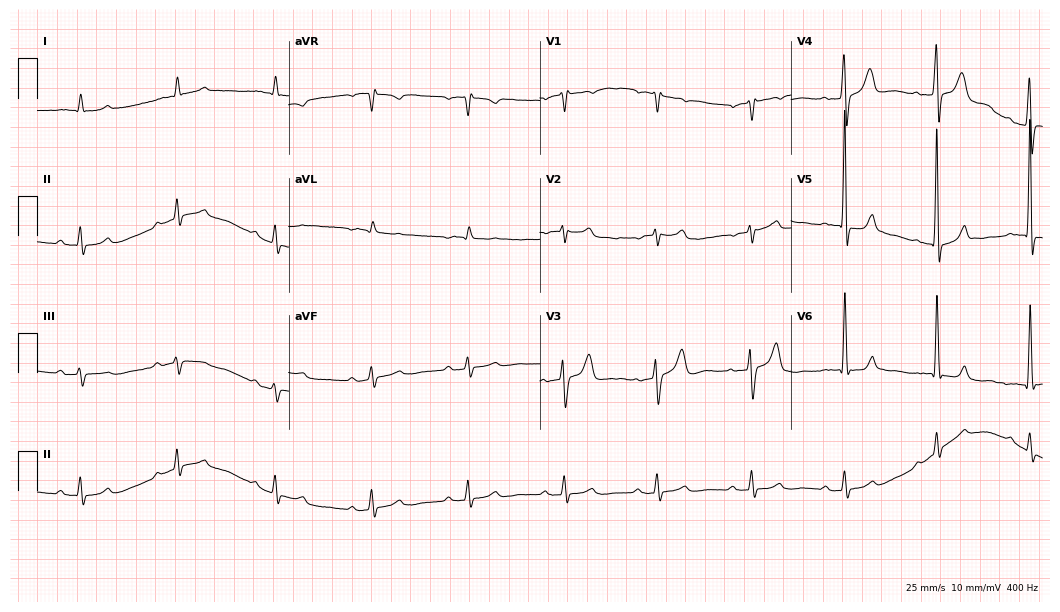
ECG (10.2-second recording at 400 Hz) — a 71-year-old male patient. Screened for six findings — first-degree AV block, right bundle branch block (RBBB), left bundle branch block (LBBB), sinus bradycardia, atrial fibrillation (AF), sinus tachycardia — none is recorded.